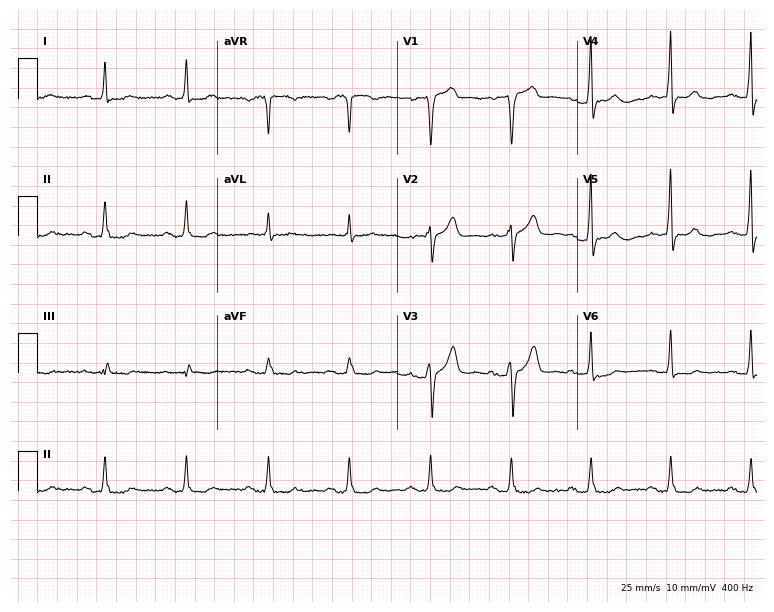
Electrocardiogram, an 81-year-old male patient. Of the six screened findings (first-degree AV block, right bundle branch block, left bundle branch block, sinus bradycardia, atrial fibrillation, sinus tachycardia), none is recorded. Other findings, if any, are not listed.